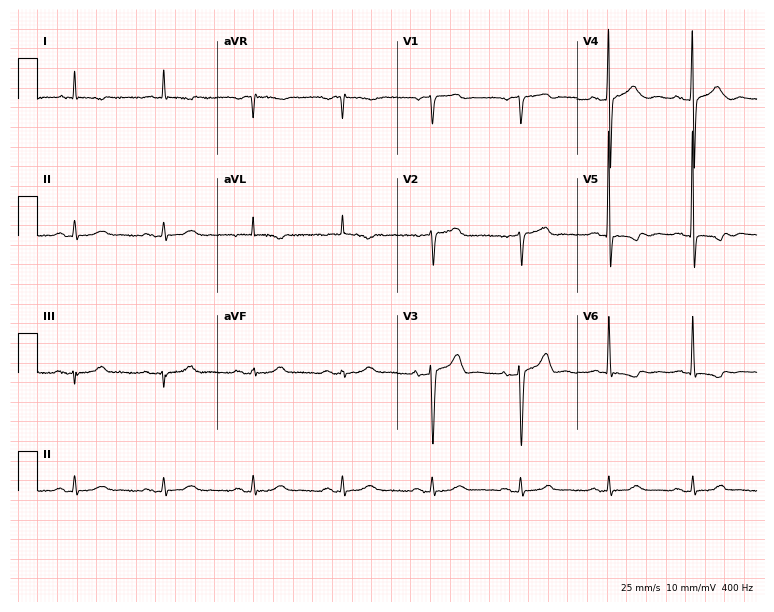
12-lead ECG from a man, 75 years old. Screened for six findings — first-degree AV block, right bundle branch block, left bundle branch block, sinus bradycardia, atrial fibrillation, sinus tachycardia — none is recorded.